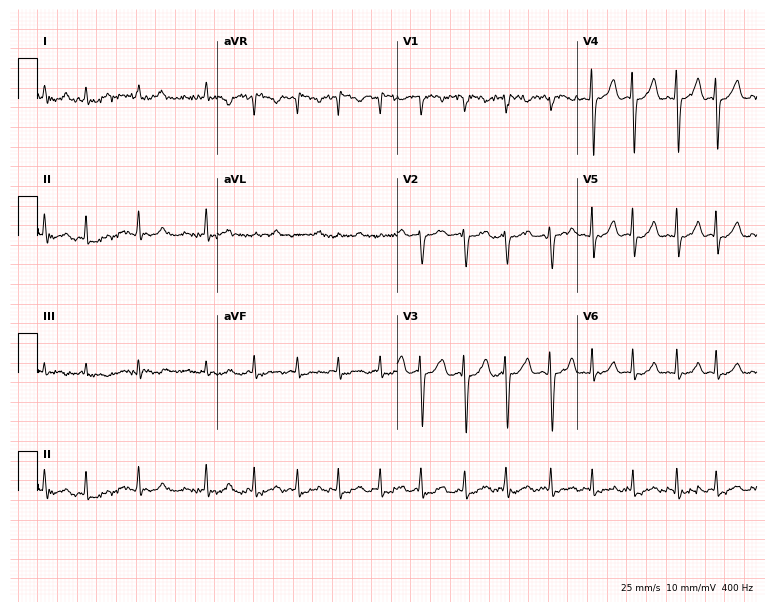
12-lead ECG (7.3-second recording at 400 Hz) from a female patient, 83 years old. Screened for six findings — first-degree AV block, right bundle branch block, left bundle branch block, sinus bradycardia, atrial fibrillation, sinus tachycardia — none is recorded.